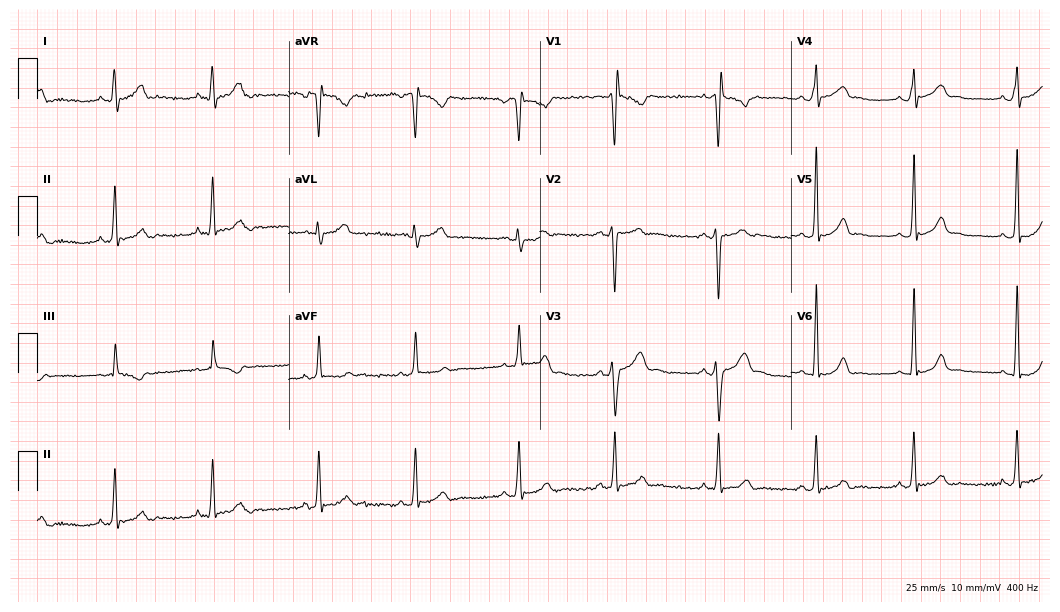
12-lead ECG from a male, 20 years old (10.2-second recording at 400 Hz). Shows right bundle branch block.